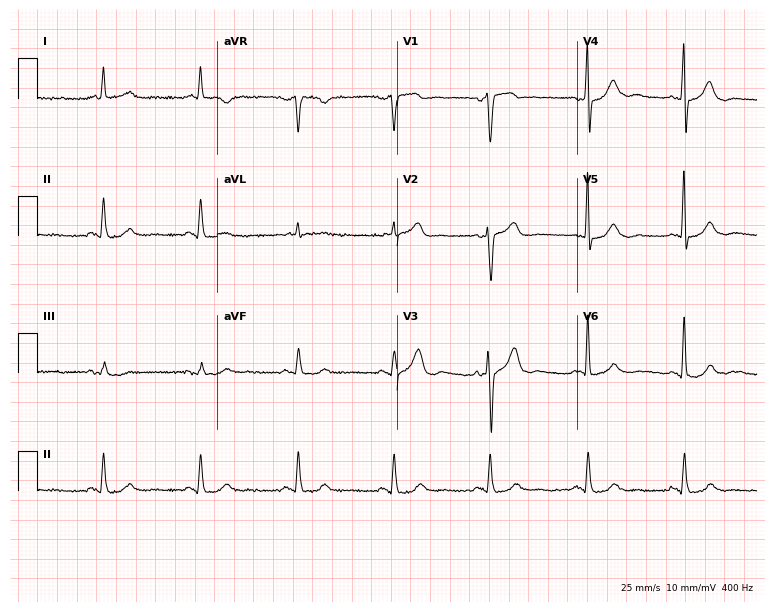
ECG — a man, 74 years old. Screened for six findings — first-degree AV block, right bundle branch block, left bundle branch block, sinus bradycardia, atrial fibrillation, sinus tachycardia — none is recorded.